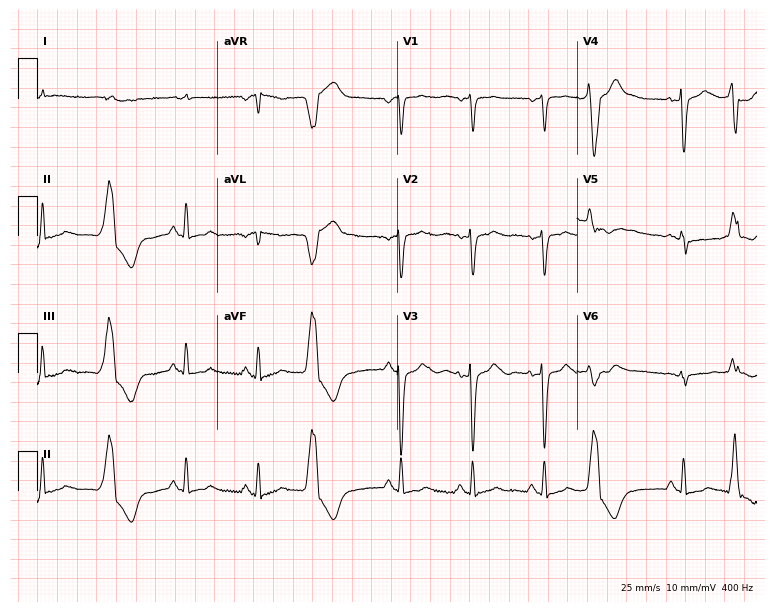
Electrocardiogram, a 76-year-old male patient. Of the six screened findings (first-degree AV block, right bundle branch block, left bundle branch block, sinus bradycardia, atrial fibrillation, sinus tachycardia), none is recorded. Other findings, if any, are not listed.